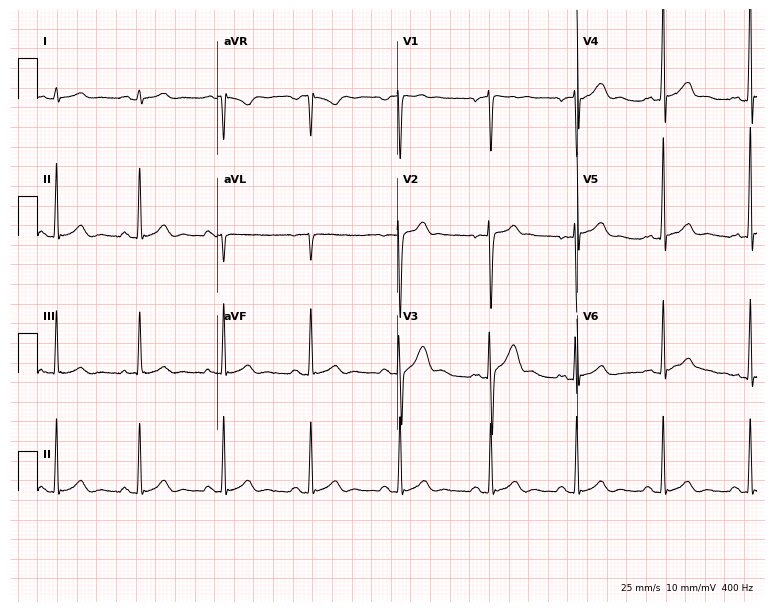
Electrocardiogram (7.3-second recording at 400 Hz), a female, 30 years old. Of the six screened findings (first-degree AV block, right bundle branch block (RBBB), left bundle branch block (LBBB), sinus bradycardia, atrial fibrillation (AF), sinus tachycardia), none is recorded.